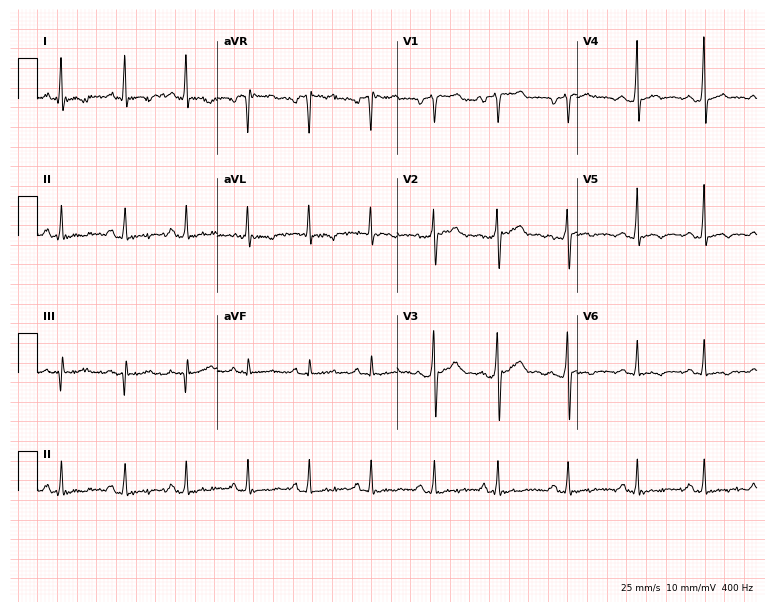
12-lead ECG (7.3-second recording at 400 Hz) from a male patient, 32 years old. Screened for six findings — first-degree AV block, right bundle branch block, left bundle branch block, sinus bradycardia, atrial fibrillation, sinus tachycardia — none is recorded.